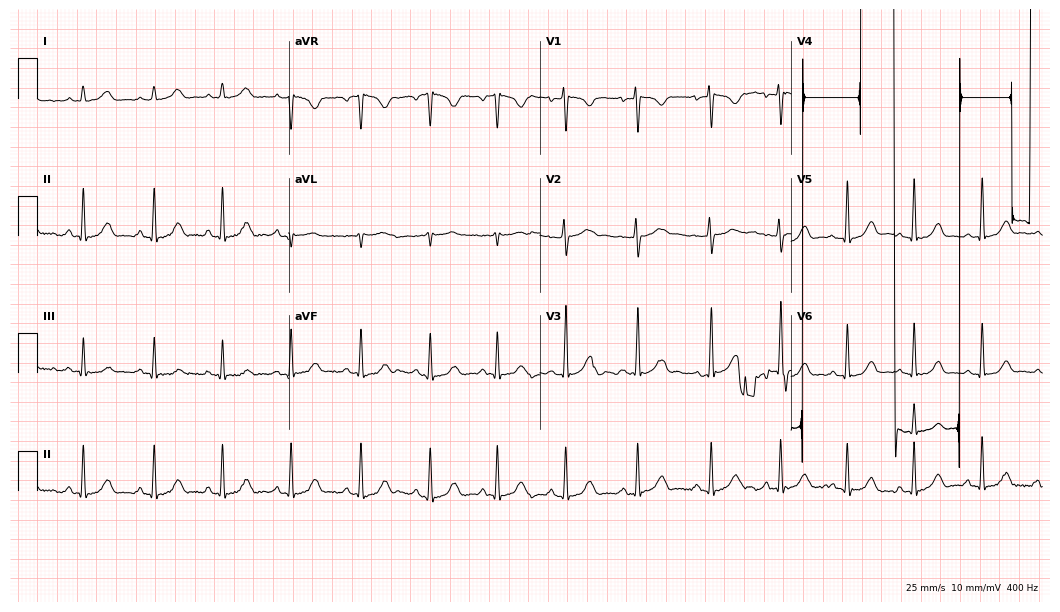
12-lead ECG (10.2-second recording at 400 Hz) from a female patient, 28 years old. Screened for six findings — first-degree AV block, right bundle branch block (RBBB), left bundle branch block (LBBB), sinus bradycardia, atrial fibrillation (AF), sinus tachycardia — none is recorded.